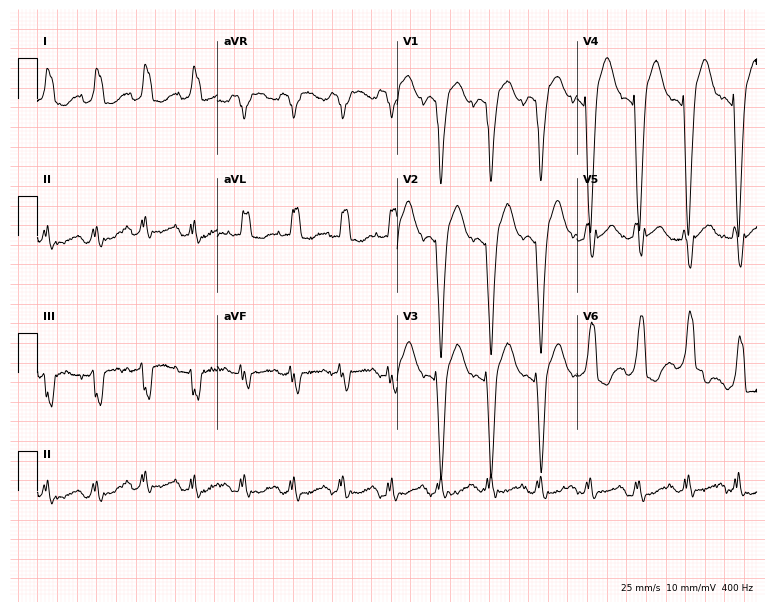
ECG — a woman, 85 years old. Findings include left bundle branch block (LBBB), sinus tachycardia (a sinus rate of 100 beats per minute or more).